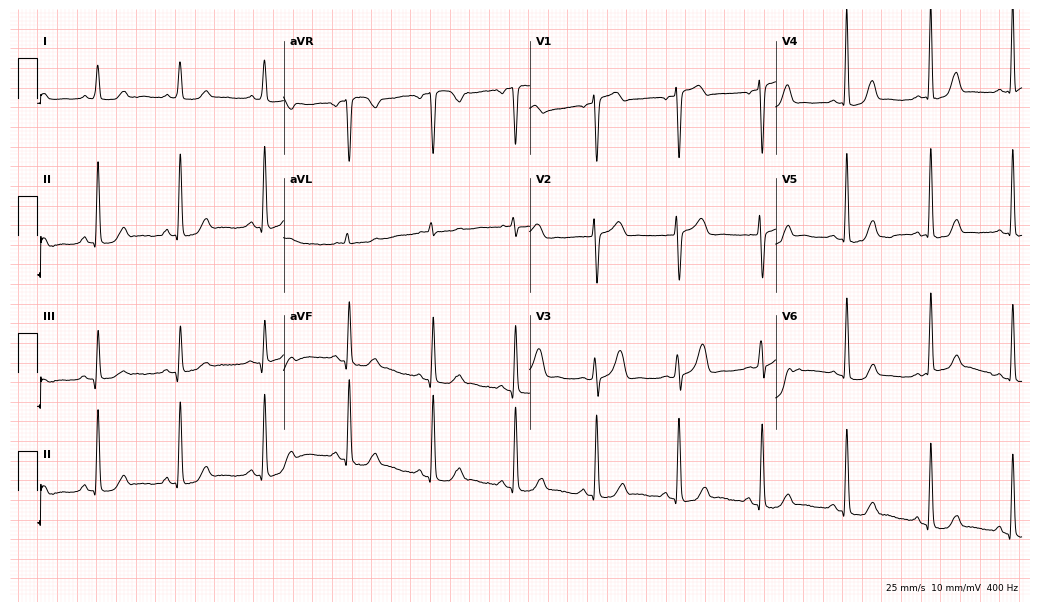
ECG — a female, 67 years old. Labelled as a normal ECG.